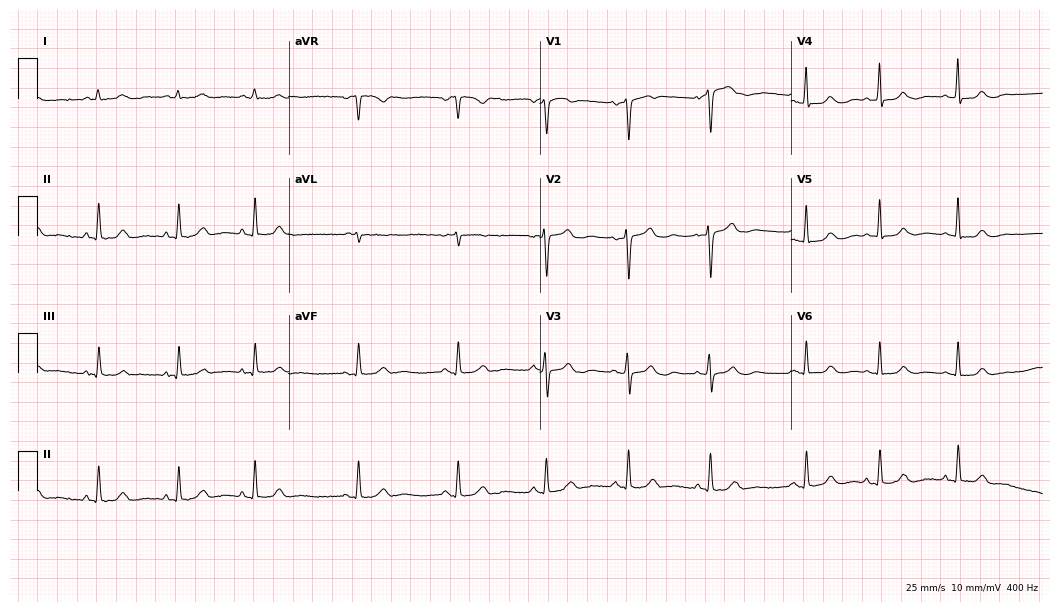
Standard 12-lead ECG recorded from a 52-year-old female (10.2-second recording at 400 Hz). Read as a normal ECG.